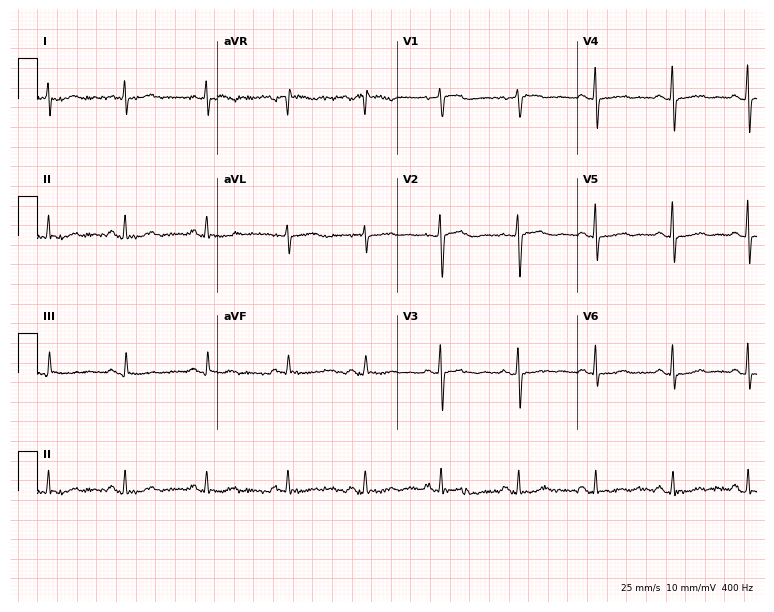
Resting 12-lead electrocardiogram. Patient: a woman, 61 years old. None of these six findings is recorded: first-degree AV block, right bundle branch block, left bundle branch block, sinus bradycardia, atrial fibrillation, sinus tachycardia. Only these six findings were labelled.